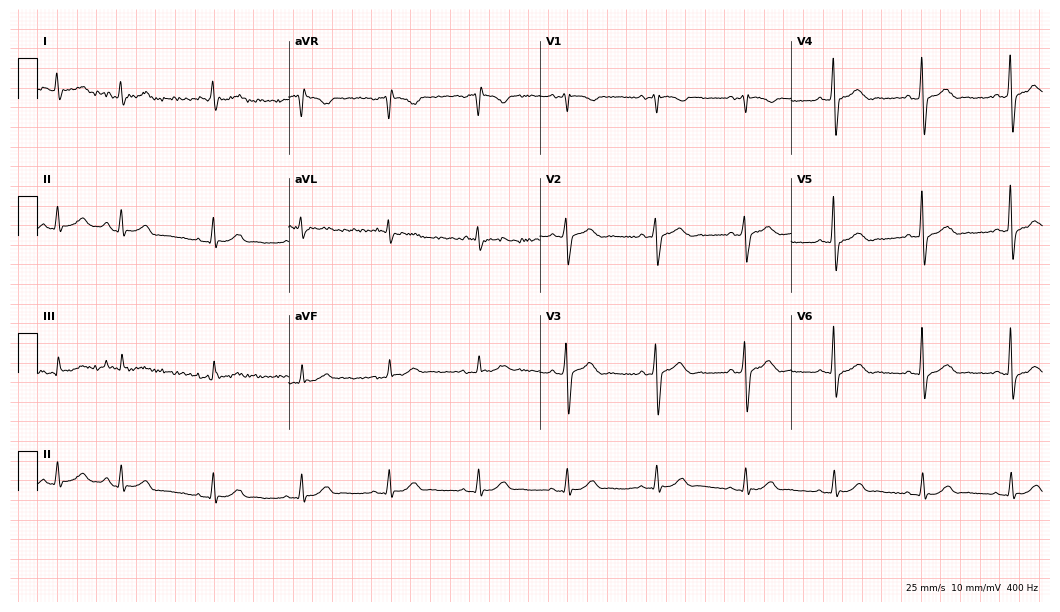
12-lead ECG from a male patient, 66 years old. No first-degree AV block, right bundle branch block, left bundle branch block, sinus bradycardia, atrial fibrillation or sinus tachycardia recorded for this tracing.